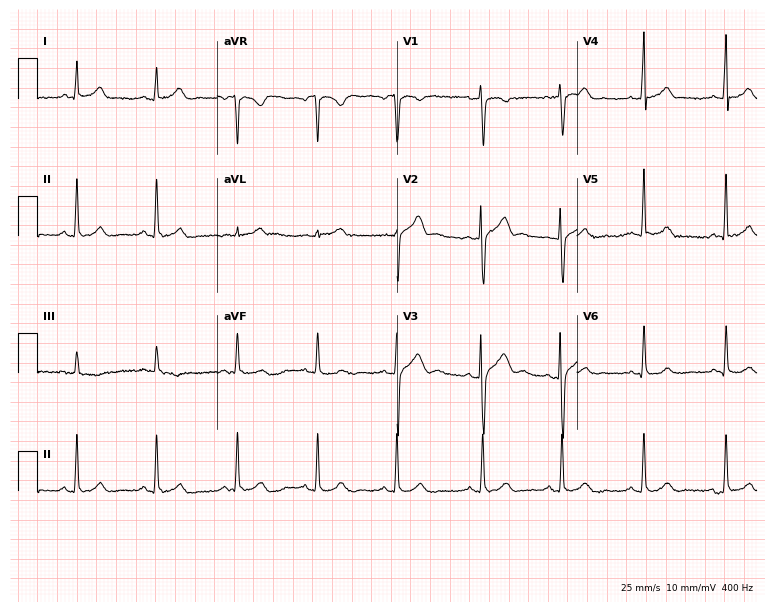
Electrocardiogram (7.3-second recording at 400 Hz), a woman, 29 years old. Of the six screened findings (first-degree AV block, right bundle branch block, left bundle branch block, sinus bradycardia, atrial fibrillation, sinus tachycardia), none is recorded.